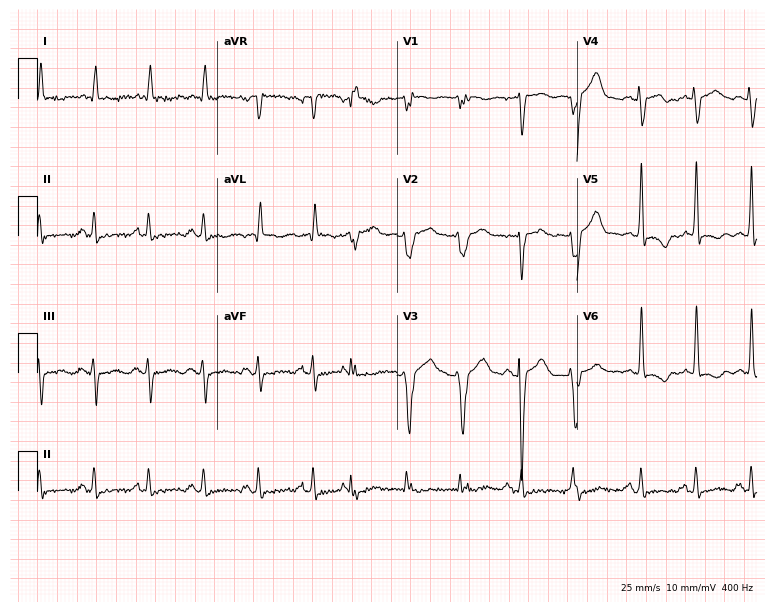
12-lead ECG from a 64-year-old female. No first-degree AV block, right bundle branch block, left bundle branch block, sinus bradycardia, atrial fibrillation or sinus tachycardia recorded for this tracing.